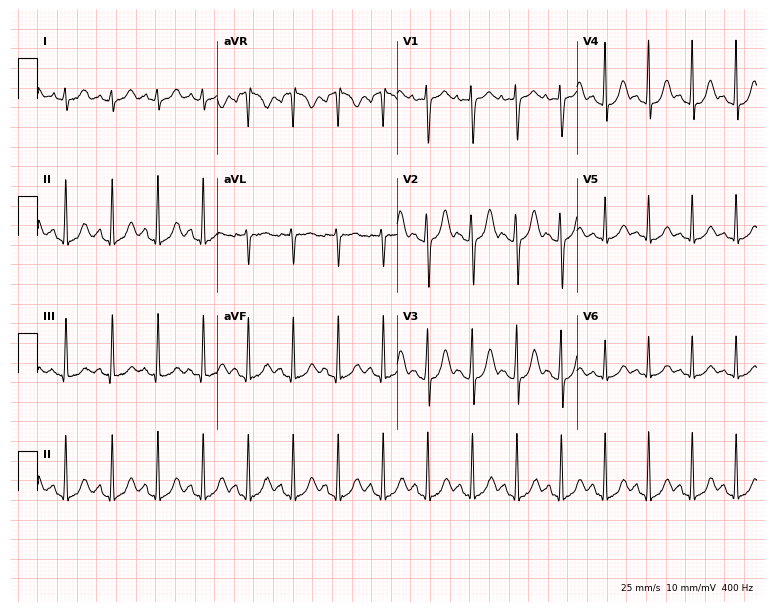
12-lead ECG from a female, 20 years old. Findings include sinus tachycardia (a sinus rate of 100 beats per minute or more).